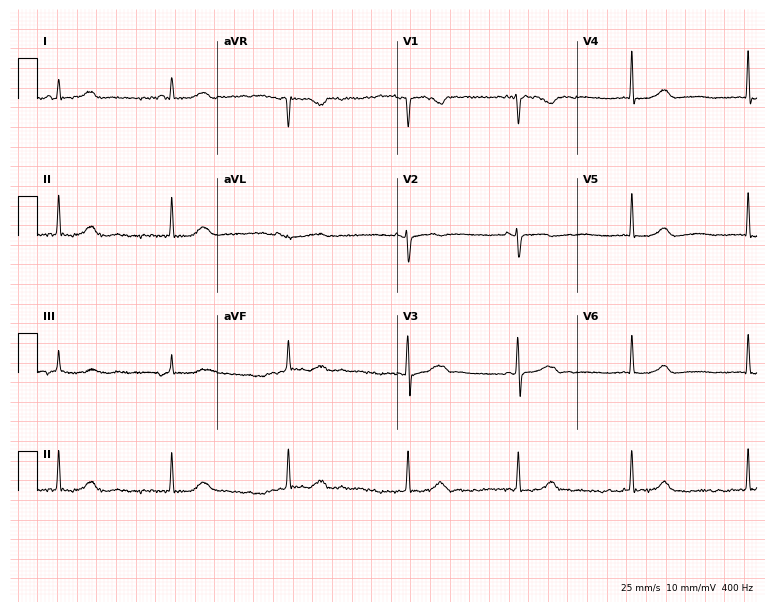
Resting 12-lead electrocardiogram (7.3-second recording at 400 Hz). Patient: a female, 22 years old. None of these six findings is recorded: first-degree AV block, right bundle branch block, left bundle branch block, sinus bradycardia, atrial fibrillation, sinus tachycardia. Findings outside these six are not listed.